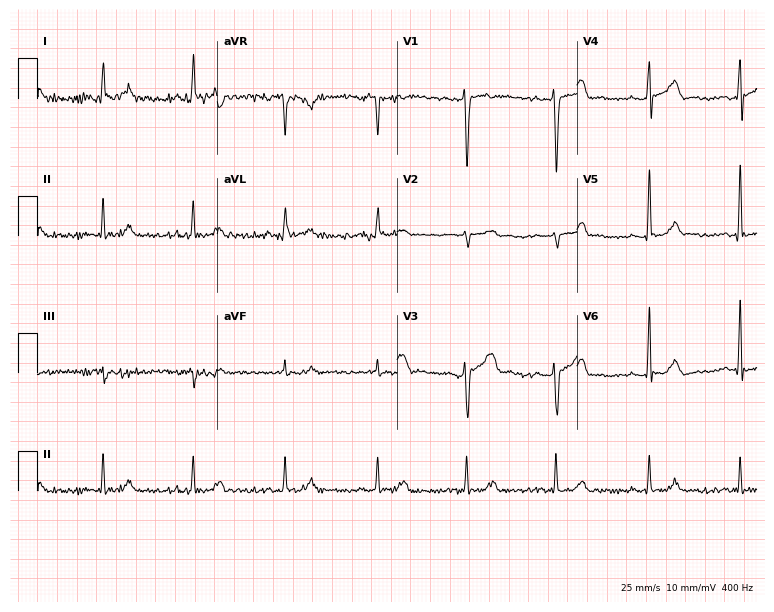
Electrocardiogram, a 28-year-old man. Overall reading on record: normal ECG.